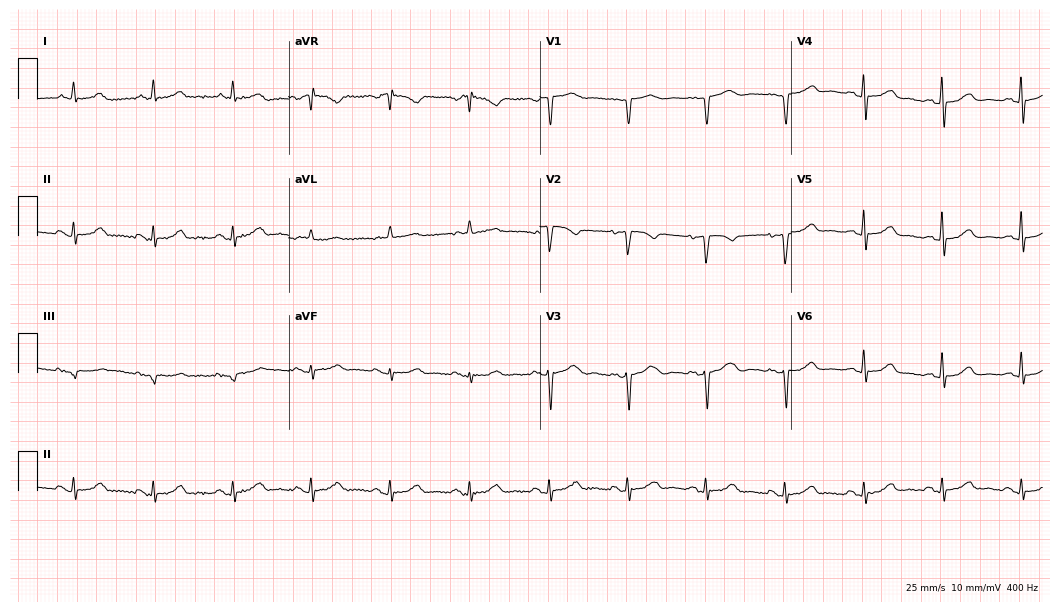
Standard 12-lead ECG recorded from a female patient, 76 years old (10.2-second recording at 400 Hz). None of these six findings is recorded: first-degree AV block, right bundle branch block (RBBB), left bundle branch block (LBBB), sinus bradycardia, atrial fibrillation (AF), sinus tachycardia. Only these six findings were labelled.